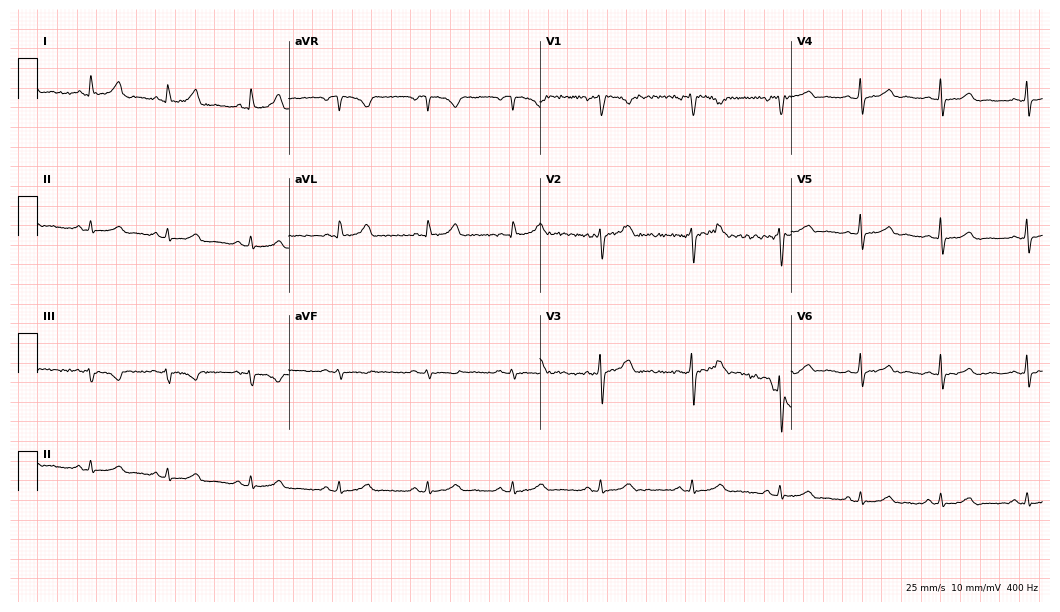
ECG (10.2-second recording at 400 Hz) — a female patient, 40 years old. Labelled as a normal ECG.